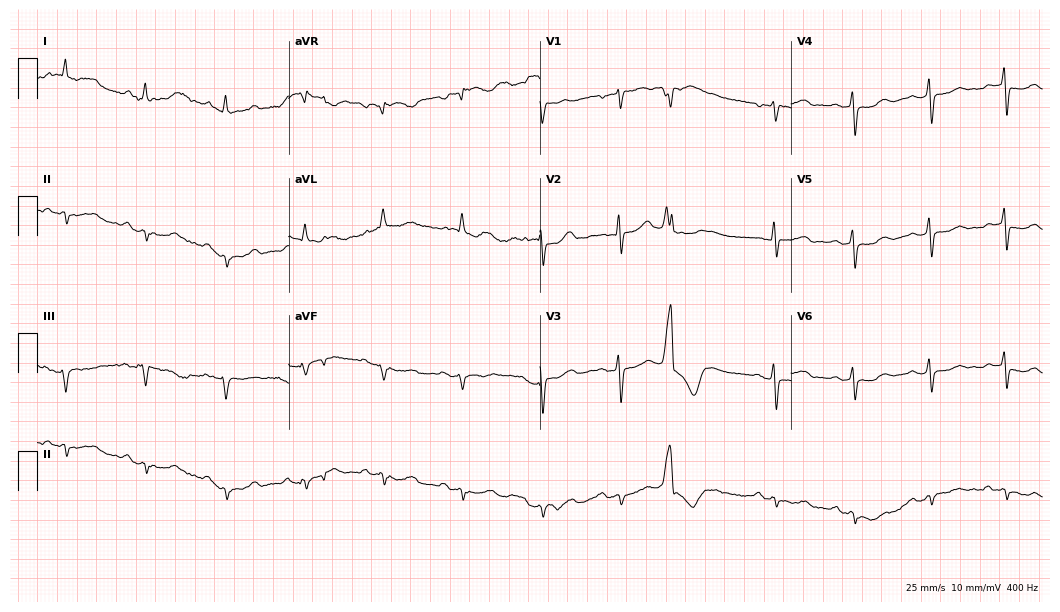
Electrocardiogram (10.2-second recording at 400 Hz), a female, 60 years old. Of the six screened findings (first-degree AV block, right bundle branch block, left bundle branch block, sinus bradycardia, atrial fibrillation, sinus tachycardia), none is recorded.